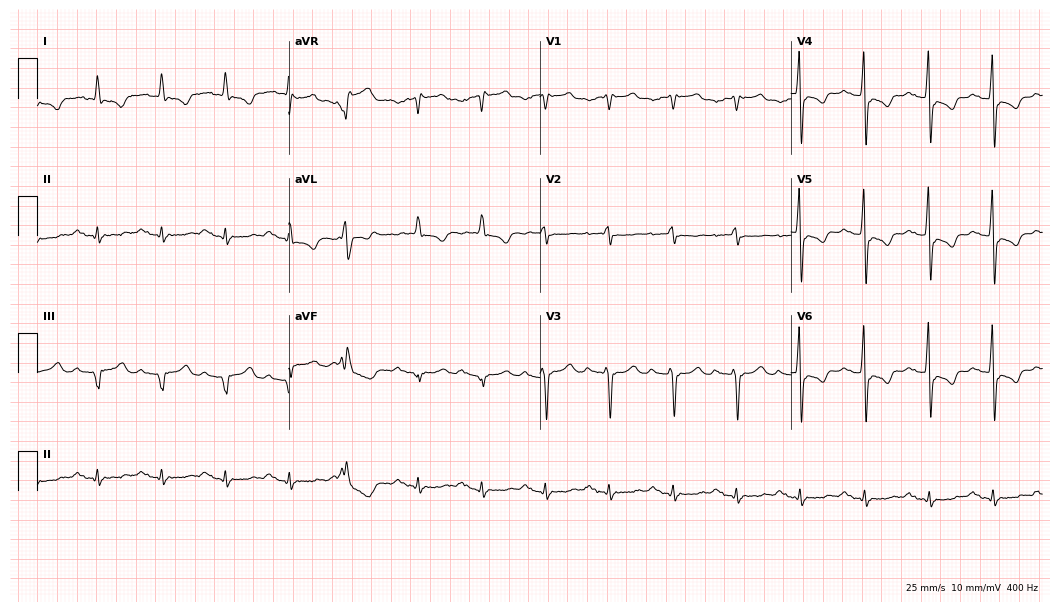
Standard 12-lead ECG recorded from a man, 69 years old. The tracing shows first-degree AV block.